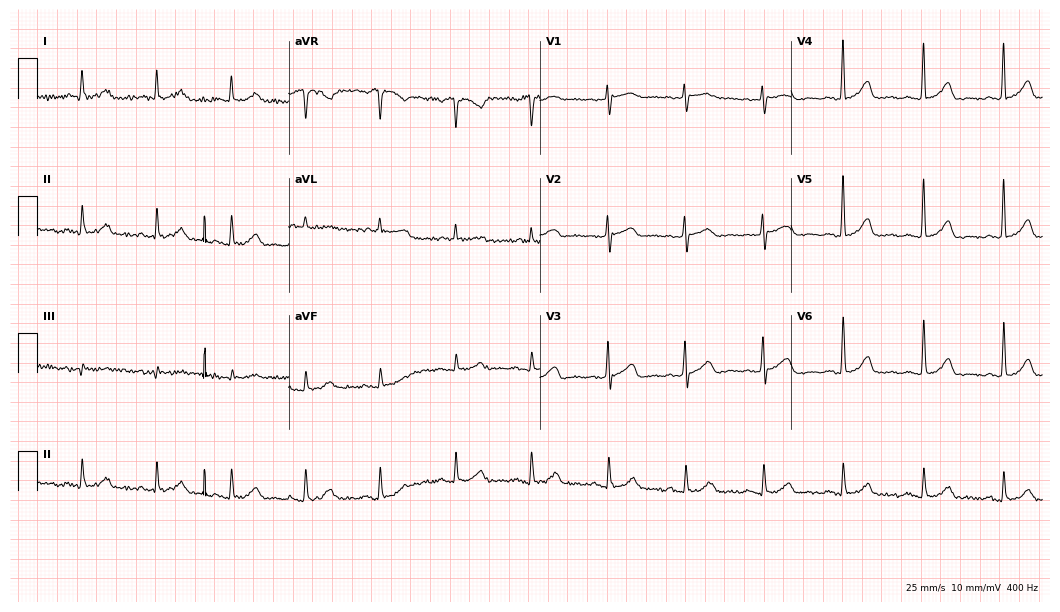
12-lead ECG from an 84-year-old female patient (10.2-second recording at 400 Hz). Recorded interpretation: within normal limits.